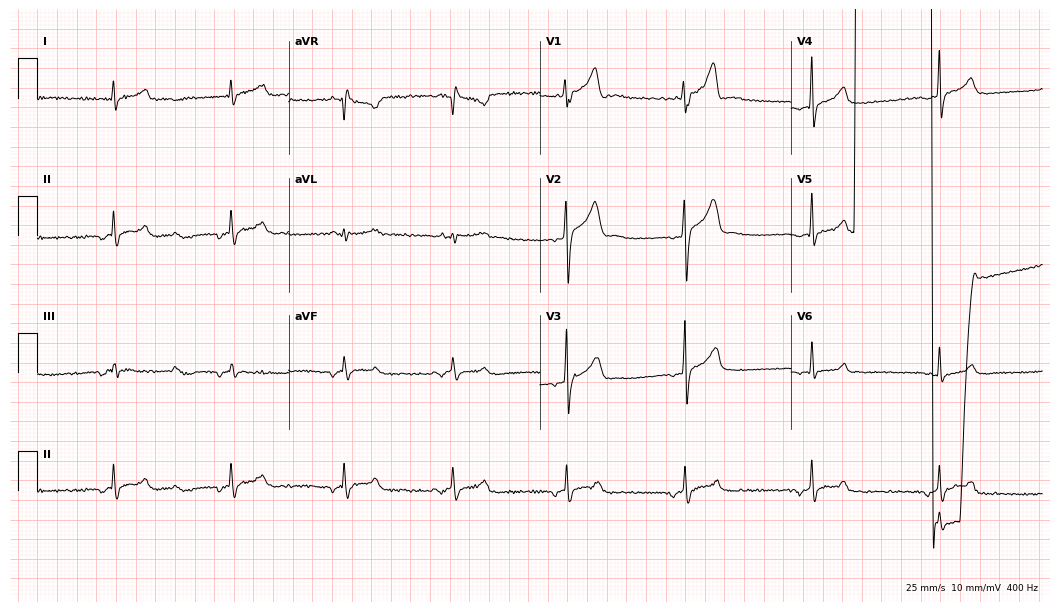
Resting 12-lead electrocardiogram (10.2-second recording at 400 Hz). Patient: a male, 20 years old. None of these six findings is recorded: first-degree AV block, right bundle branch block, left bundle branch block, sinus bradycardia, atrial fibrillation, sinus tachycardia.